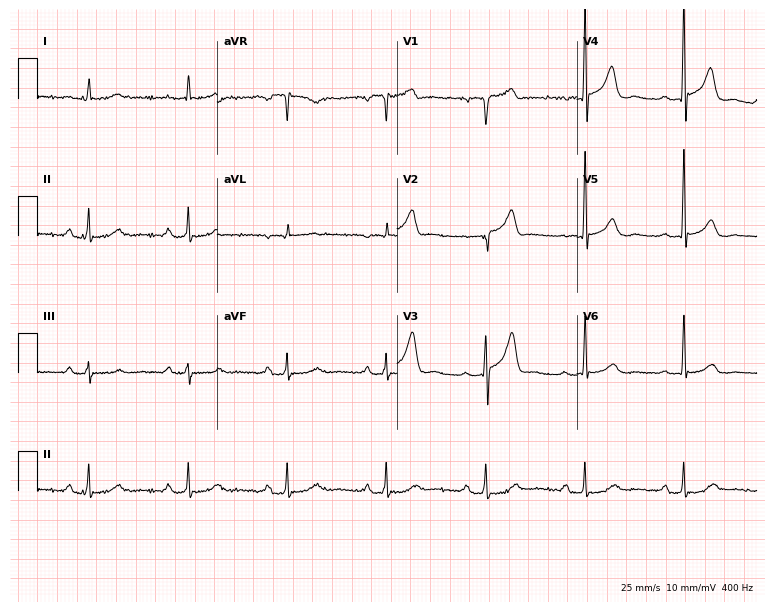
12-lead ECG from a 79-year-old male. No first-degree AV block, right bundle branch block, left bundle branch block, sinus bradycardia, atrial fibrillation or sinus tachycardia recorded for this tracing. Other findings, if any, are not listed.